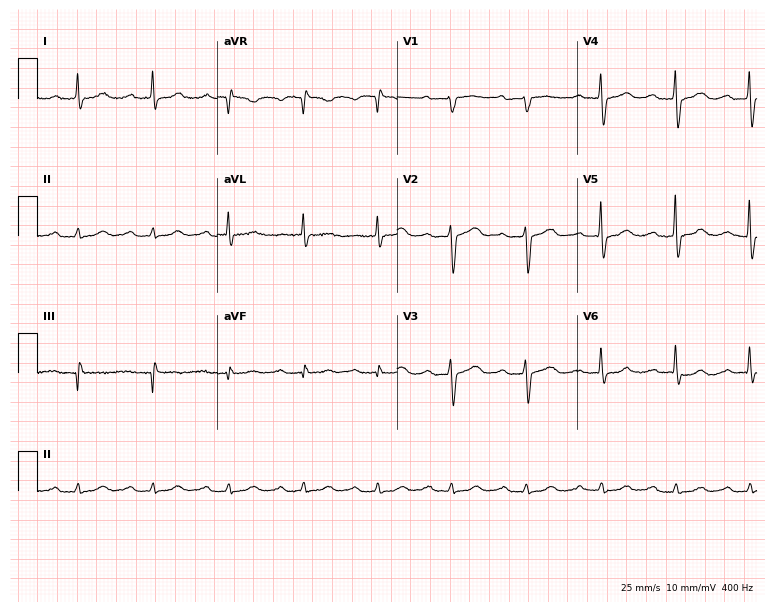
ECG — a 77-year-old male. Findings include first-degree AV block.